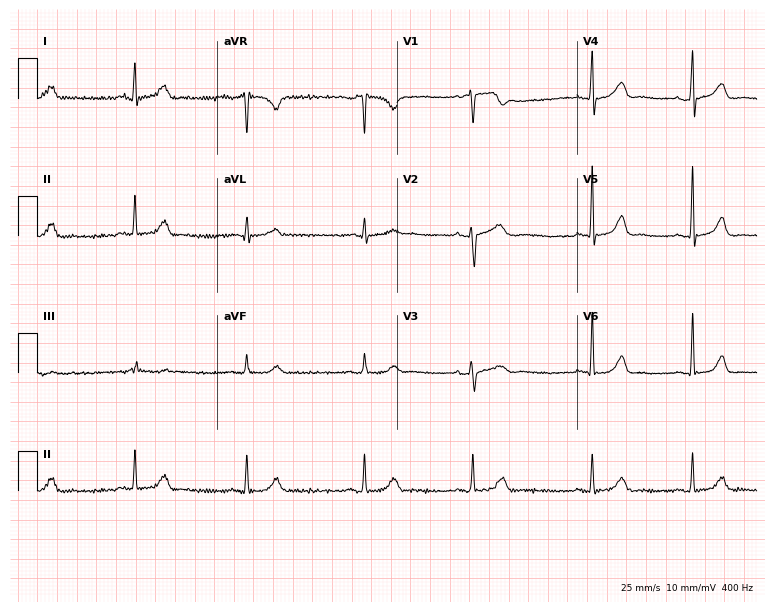
Resting 12-lead electrocardiogram. Patient: a 28-year-old female. None of these six findings is recorded: first-degree AV block, right bundle branch block, left bundle branch block, sinus bradycardia, atrial fibrillation, sinus tachycardia.